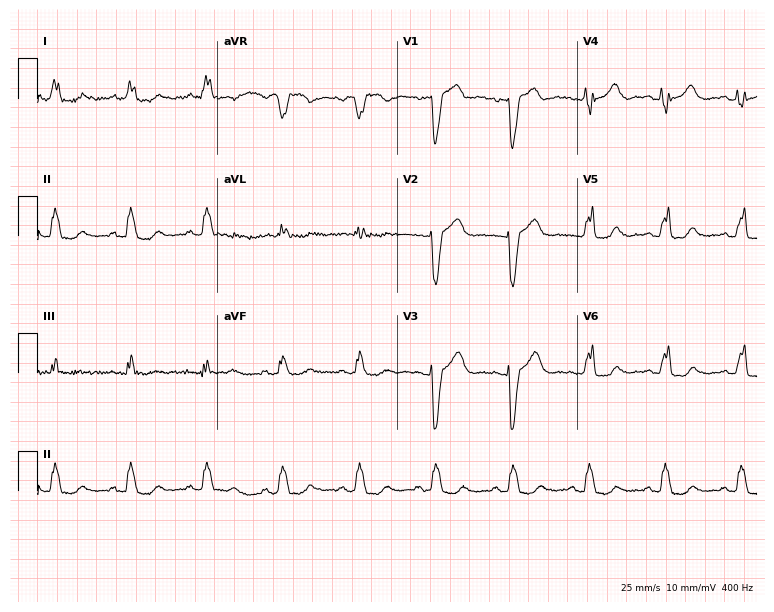
Resting 12-lead electrocardiogram. Patient: a 61-year-old female. The tracing shows left bundle branch block (LBBB).